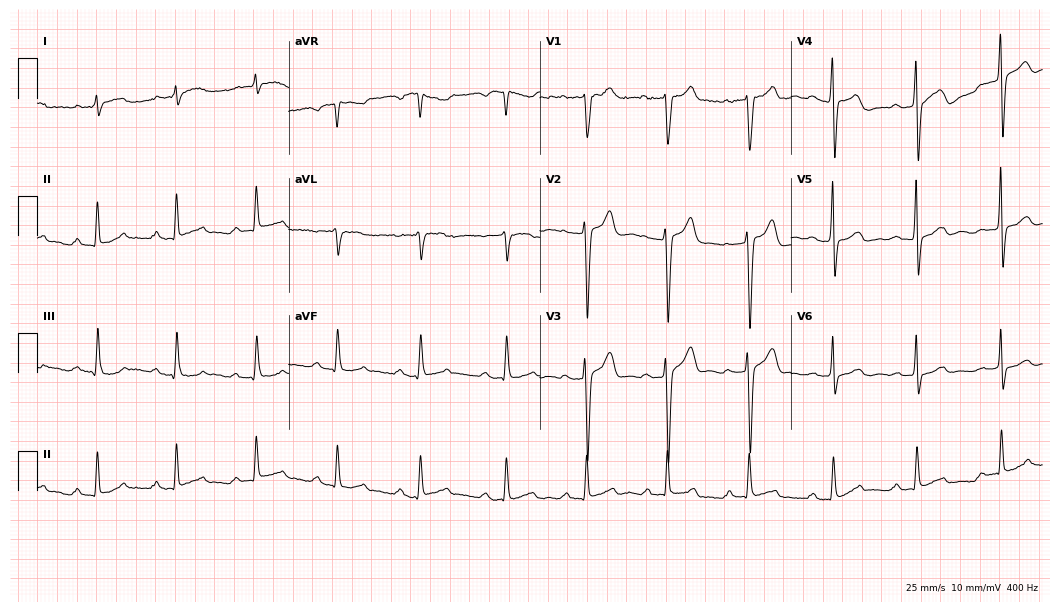
Standard 12-lead ECG recorded from a 53-year-old male (10.2-second recording at 400 Hz). None of these six findings is recorded: first-degree AV block, right bundle branch block (RBBB), left bundle branch block (LBBB), sinus bradycardia, atrial fibrillation (AF), sinus tachycardia.